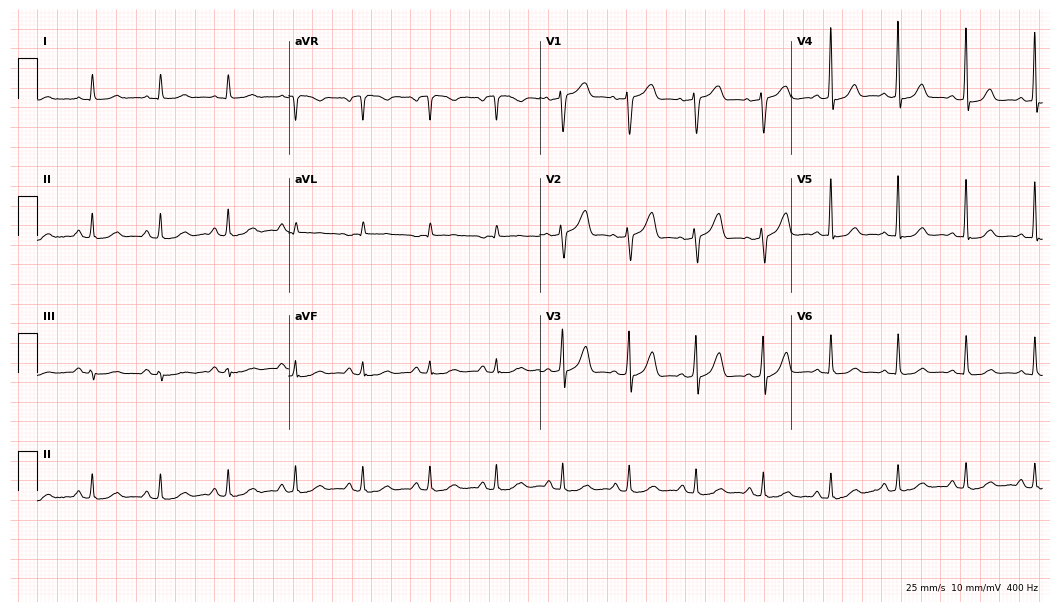
Electrocardiogram (10.2-second recording at 400 Hz), a 59-year-old female. Of the six screened findings (first-degree AV block, right bundle branch block, left bundle branch block, sinus bradycardia, atrial fibrillation, sinus tachycardia), none is recorded. Only these six findings were labelled.